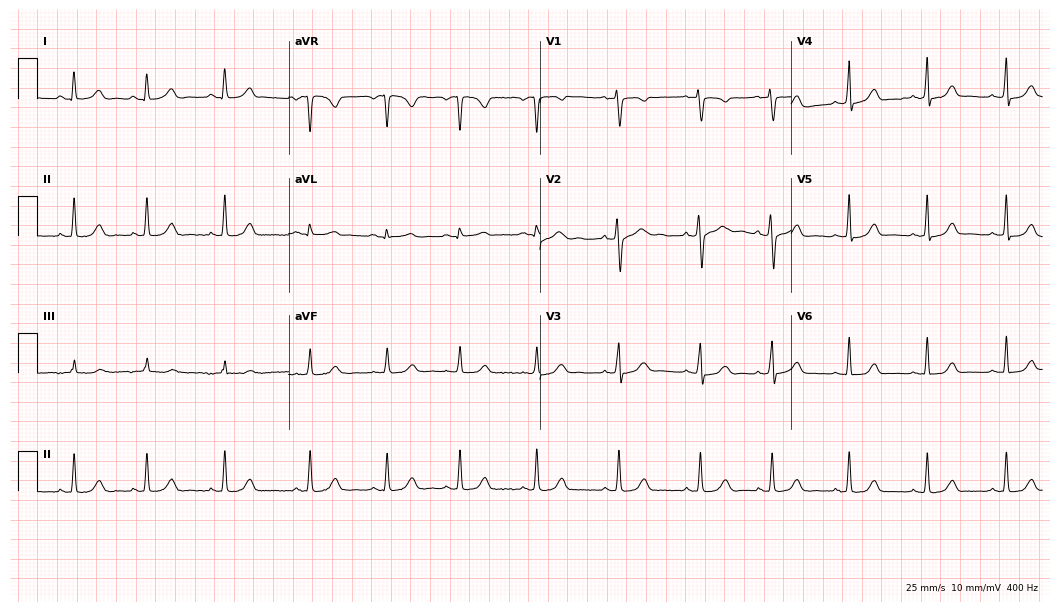
Electrocardiogram, a 26-year-old female patient. Overall reading on record: normal ECG.